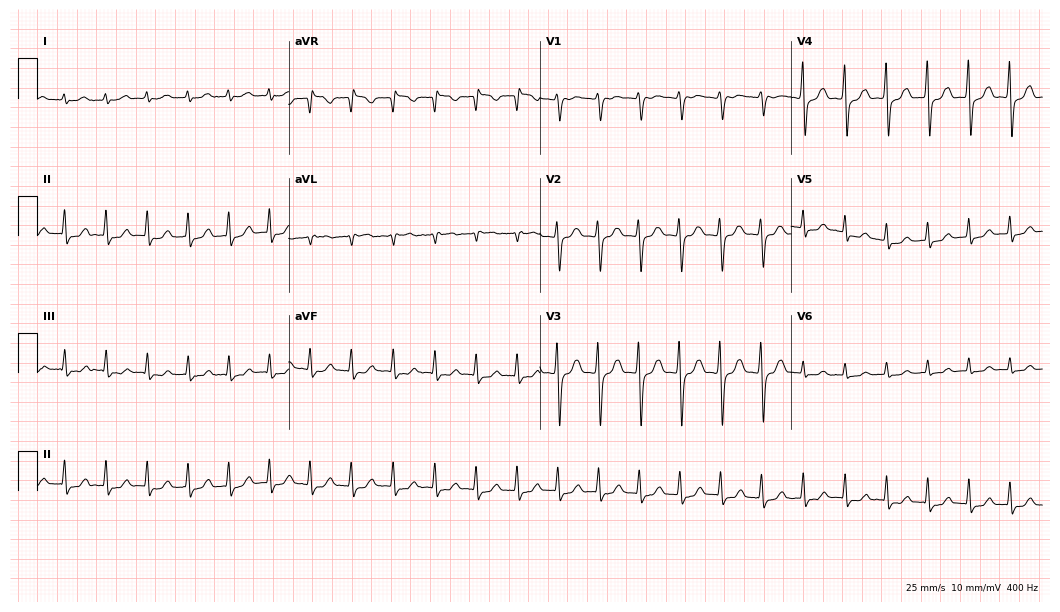
Resting 12-lead electrocardiogram. Patient: a female, 46 years old. The tracing shows sinus tachycardia (a sinus rate of 100 beats per minute or more).